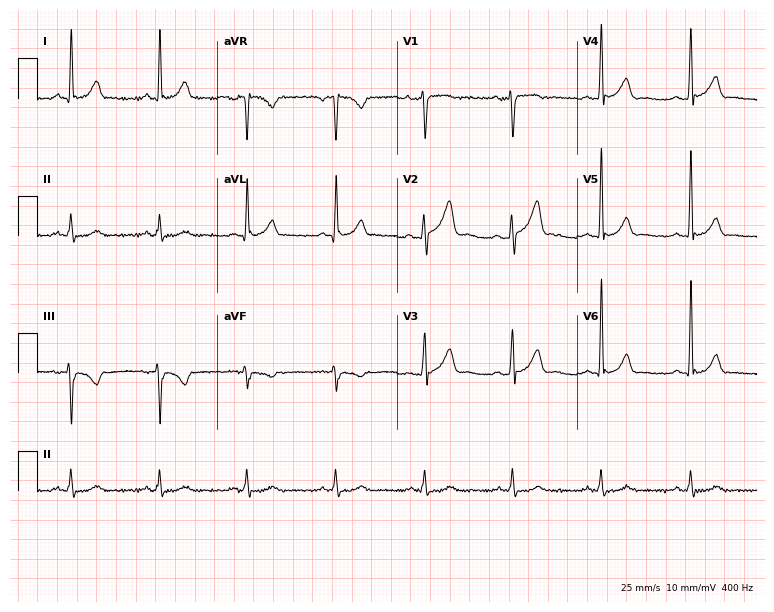
Resting 12-lead electrocardiogram (7.3-second recording at 400 Hz). Patient: a man, 42 years old. None of these six findings is recorded: first-degree AV block, right bundle branch block, left bundle branch block, sinus bradycardia, atrial fibrillation, sinus tachycardia.